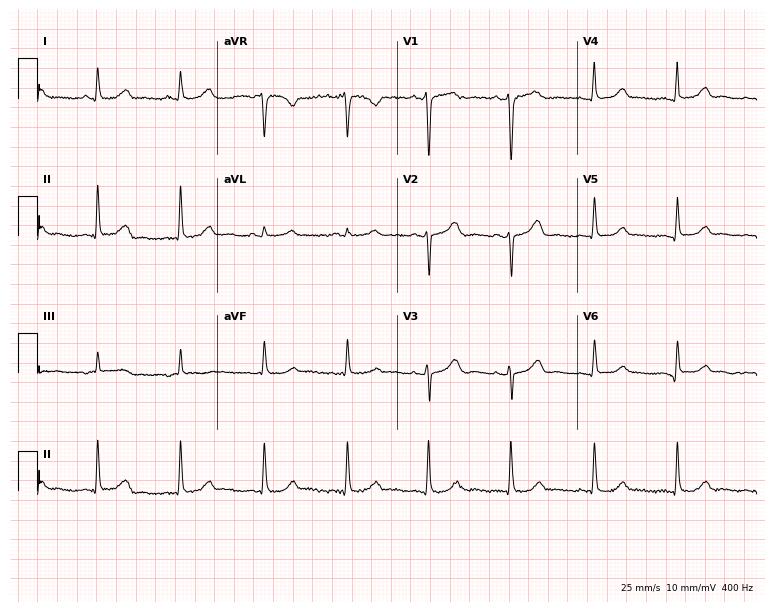
Standard 12-lead ECG recorded from a female, 67 years old (7.3-second recording at 400 Hz). None of these six findings is recorded: first-degree AV block, right bundle branch block, left bundle branch block, sinus bradycardia, atrial fibrillation, sinus tachycardia. Other findings, if any, are not listed.